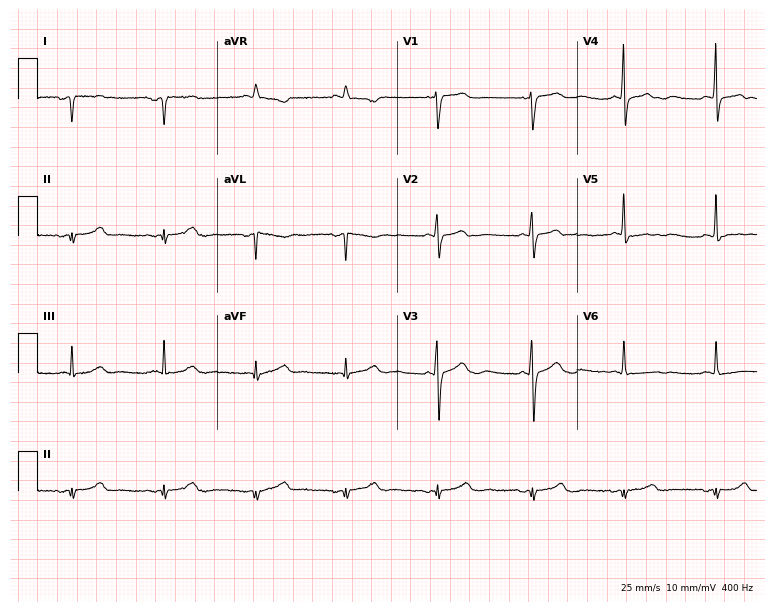
12-lead ECG (7.3-second recording at 400 Hz) from a female patient, 70 years old. Screened for six findings — first-degree AV block, right bundle branch block, left bundle branch block, sinus bradycardia, atrial fibrillation, sinus tachycardia — none is recorded. Other findings, if any, are not listed.